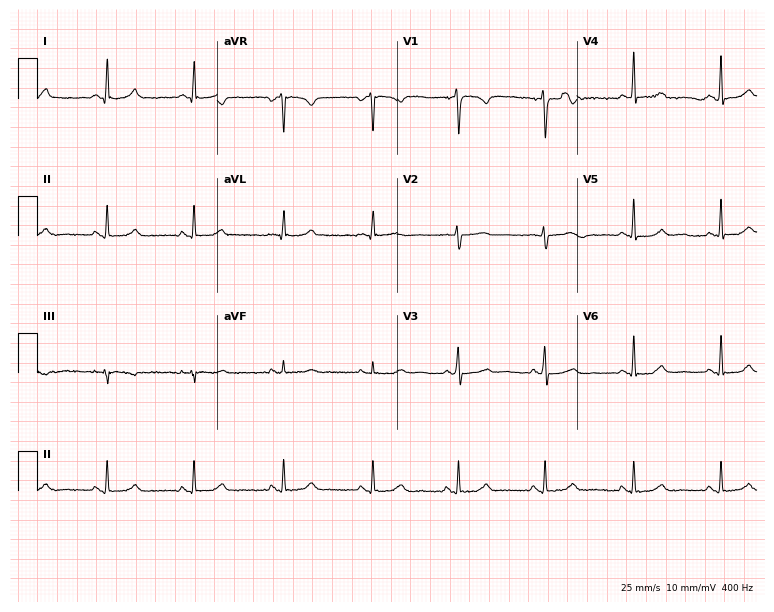
ECG (7.3-second recording at 400 Hz) — a woman, 39 years old. Labelled as a normal ECG.